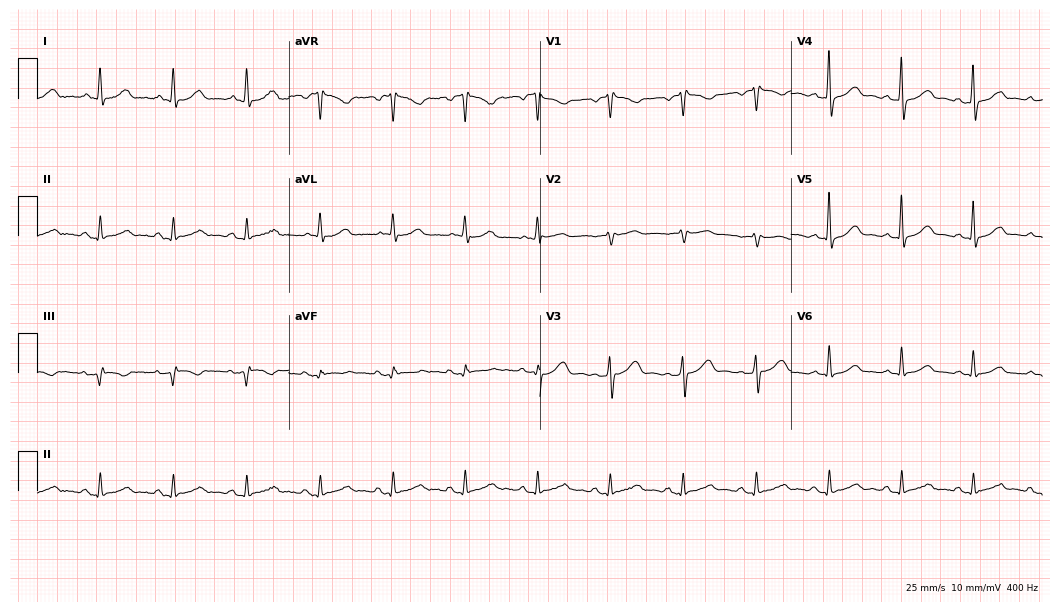
12-lead ECG from a woman, 65 years old. Recorded interpretation: within normal limits.